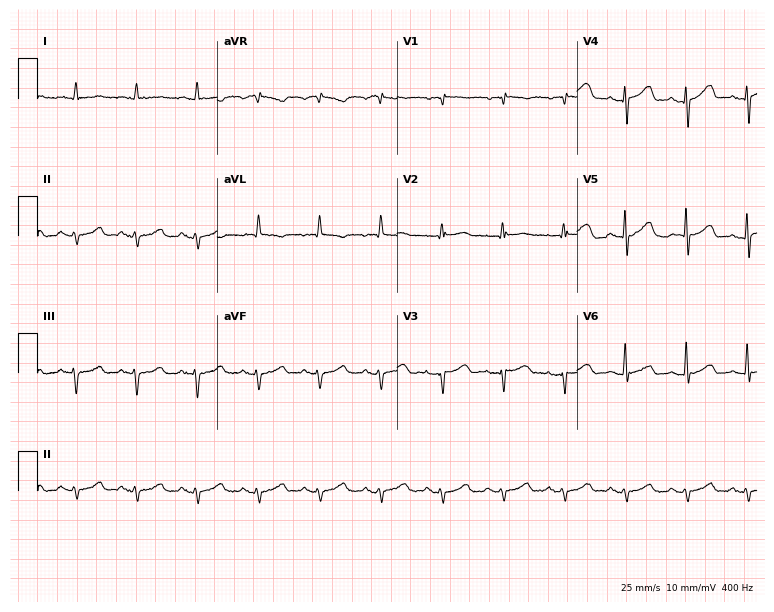
Electrocardiogram (7.3-second recording at 400 Hz), a man, 83 years old. Of the six screened findings (first-degree AV block, right bundle branch block (RBBB), left bundle branch block (LBBB), sinus bradycardia, atrial fibrillation (AF), sinus tachycardia), none is recorded.